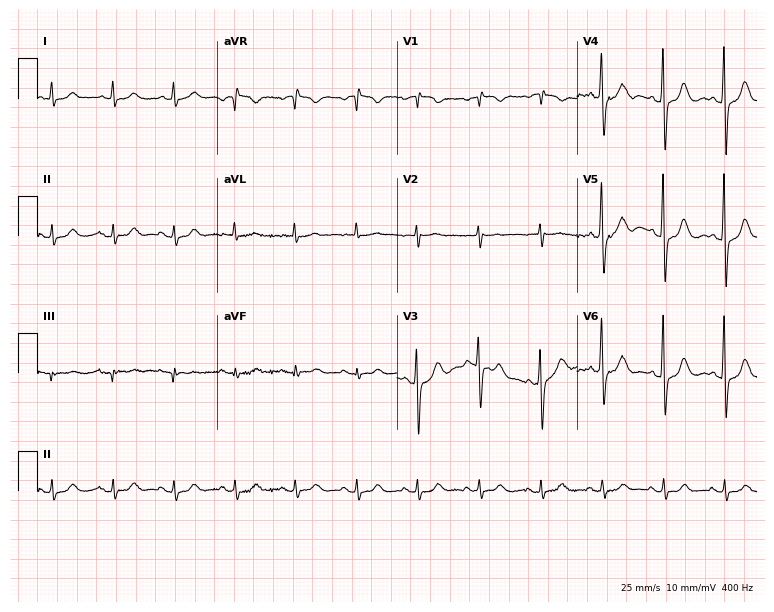
12-lead ECG from a 71-year-old man. Recorded interpretation: within normal limits.